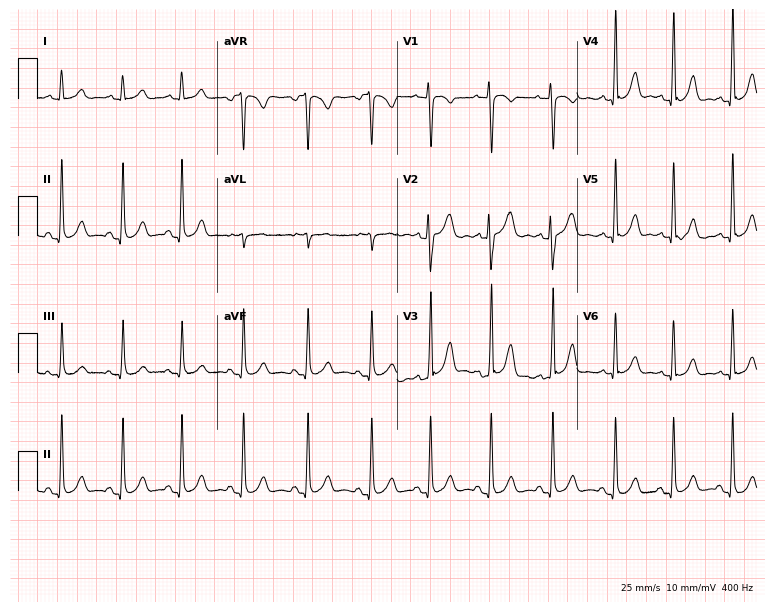
Resting 12-lead electrocardiogram. Patient: a 28-year-old female. None of these six findings is recorded: first-degree AV block, right bundle branch block, left bundle branch block, sinus bradycardia, atrial fibrillation, sinus tachycardia. Other findings, if any, are not listed.